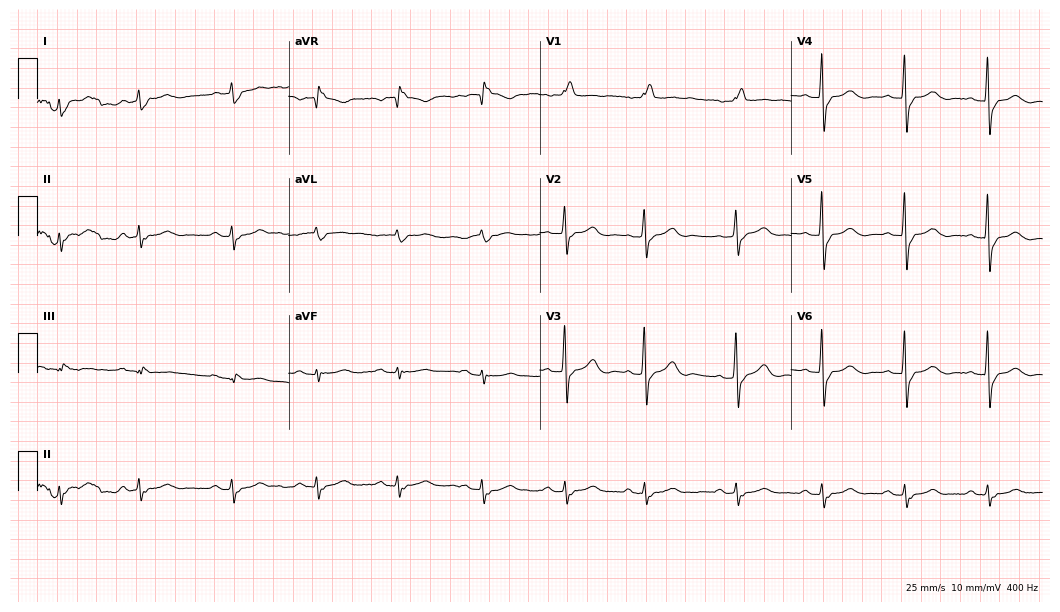
Standard 12-lead ECG recorded from an 83-year-old male patient (10.2-second recording at 400 Hz). The tracing shows right bundle branch block (RBBB).